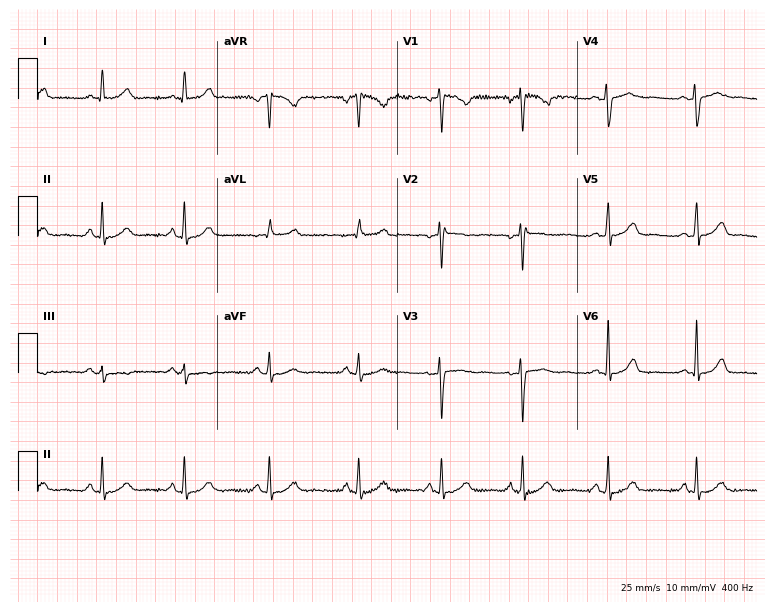
12-lead ECG from a 34-year-old female patient. No first-degree AV block, right bundle branch block, left bundle branch block, sinus bradycardia, atrial fibrillation or sinus tachycardia recorded for this tracing. Findings outside these six are not listed.